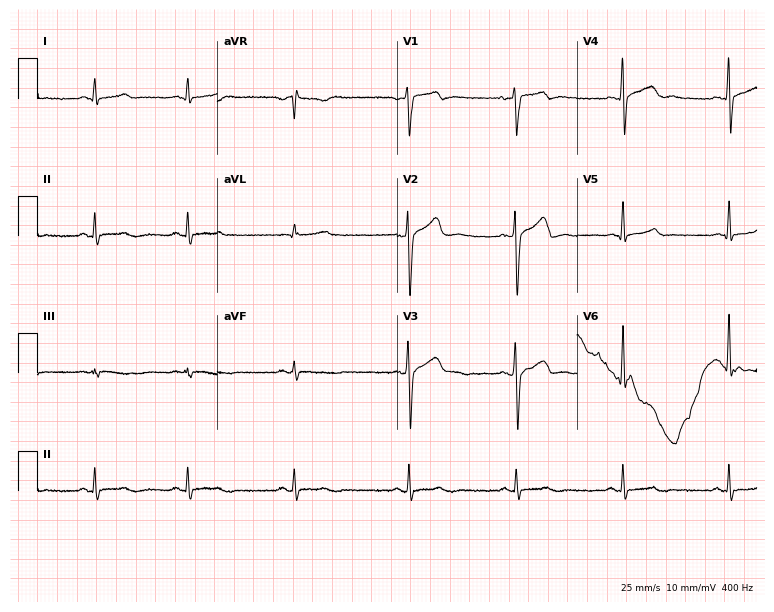
12-lead ECG from a male patient, 27 years old. Screened for six findings — first-degree AV block, right bundle branch block, left bundle branch block, sinus bradycardia, atrial fibrillation, sinus tachycardia — none is recorded.